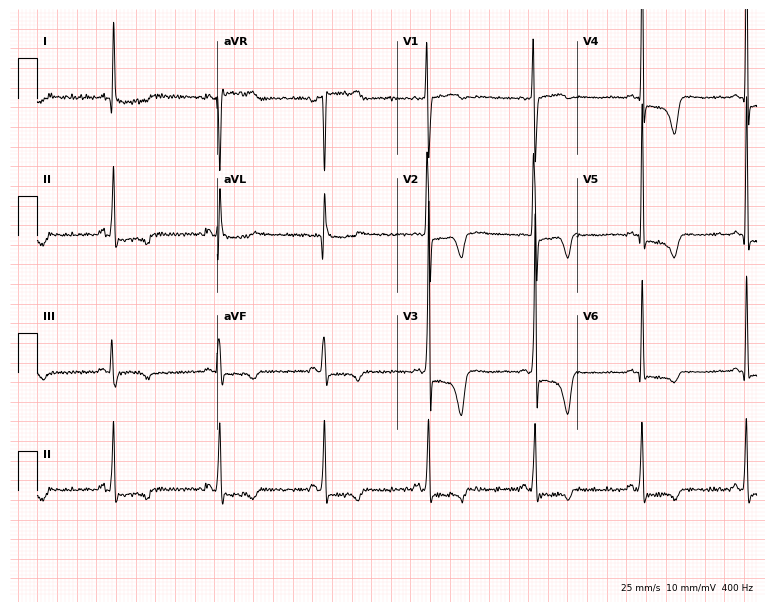
12-lead ECG from a 61-year-old female. No first-degree AV block, right bundle branch block (RBBB), left bundle branch block (LBBB), sinus bradycardia, atrial fibrillation (AF) or sinus tachycardia recorded for this tracing.